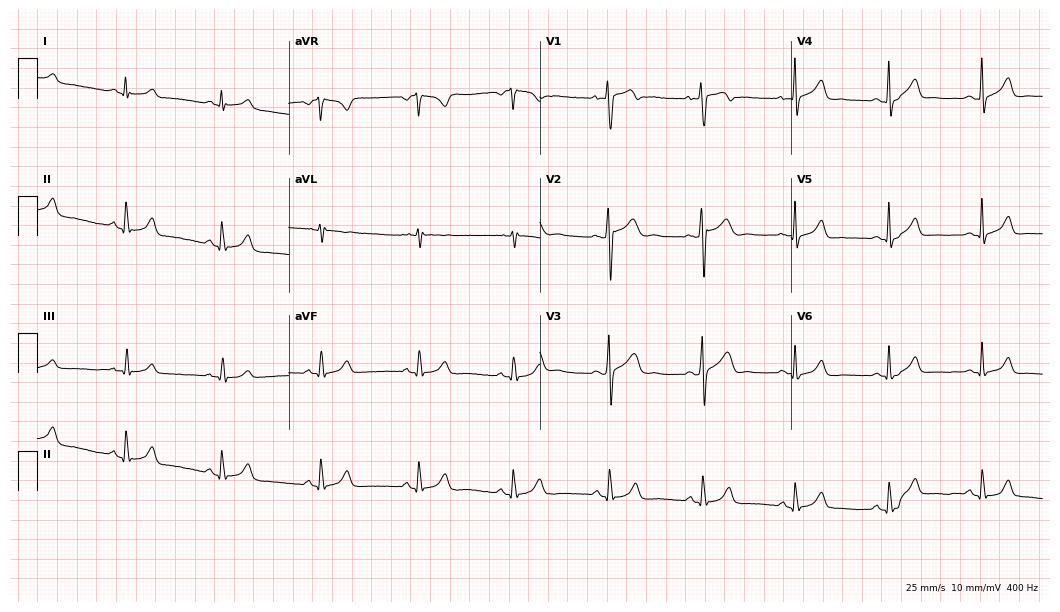
Standard 12-lead ECG recorded from a man, 25 years old. None of these six findings is recorded: first-degree AV block, right bundle branch block, left bundle branch block, sinus bradycardia, atrial fibrillation, sinus tachycardia. Only these six findings were labelled.